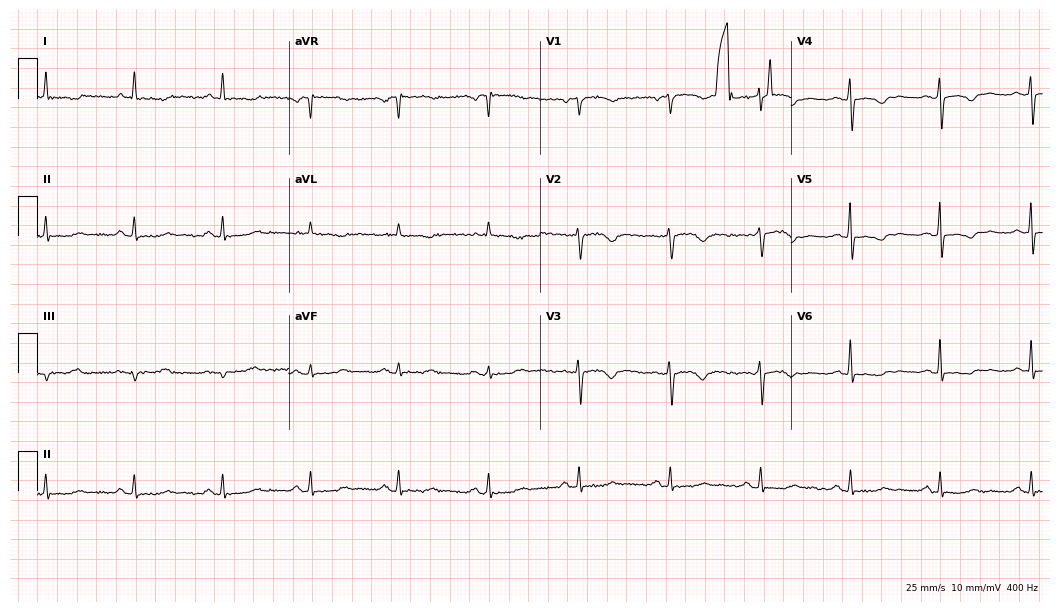
12-lead ECG from a female, 67 years old. Screened for six findings — first-degree AV block, right bundle branch block (RBBB), left bundle branch block (LBBB), sinus bradycardia, atrial fibrillation (AF), sinus tachycardia — none is recorded. Findings outside these six are not listed.